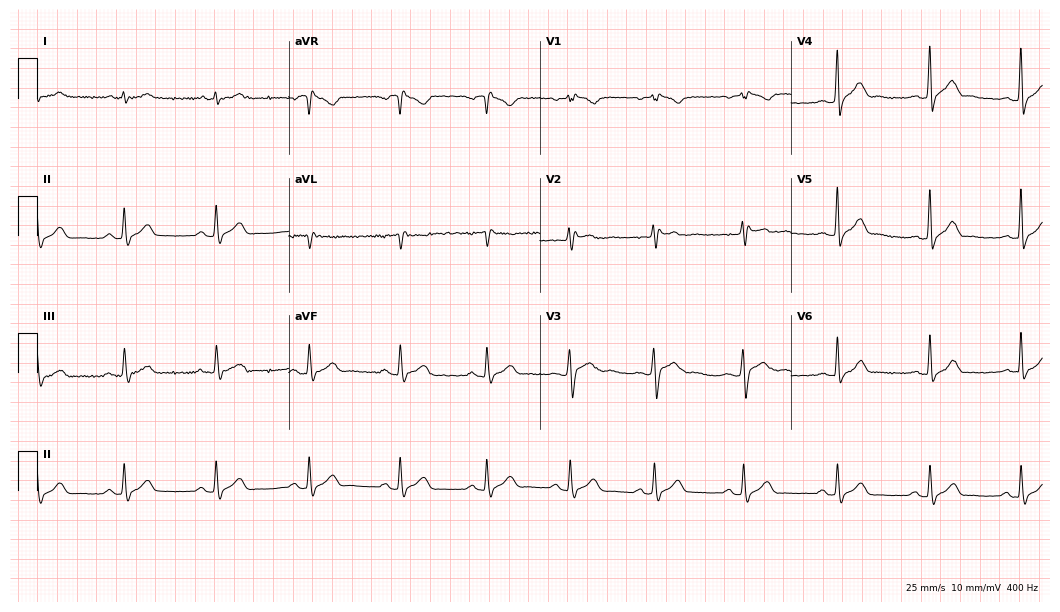
12-lead ECG from a 39-year-old male. Screened for six findings — first-degree AV block, right bundle branch block, left bundle branch block, sinus bradycardia, atrial fibrillation, sinus tachycardia — none is recorded.